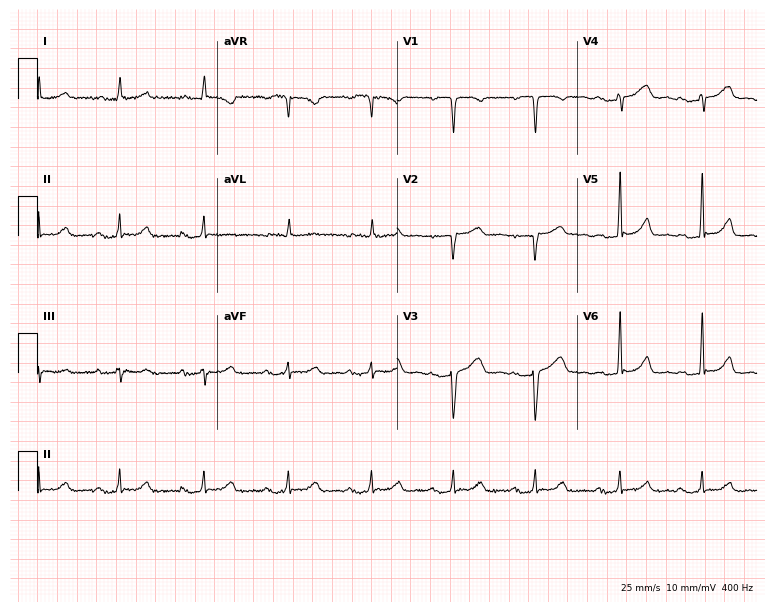
Electrocardiogram (7.3-second recording at 400 Hz), a female patient, 60 years old. Of the six screened findings (first-degree AV block, right bundle branch block (RBBB), left bundle branch block (LBBB), sinus bradycardia, atrial fibrillation (AF), sinus tachycardia), none is recorded. Only these six findings were labelled.